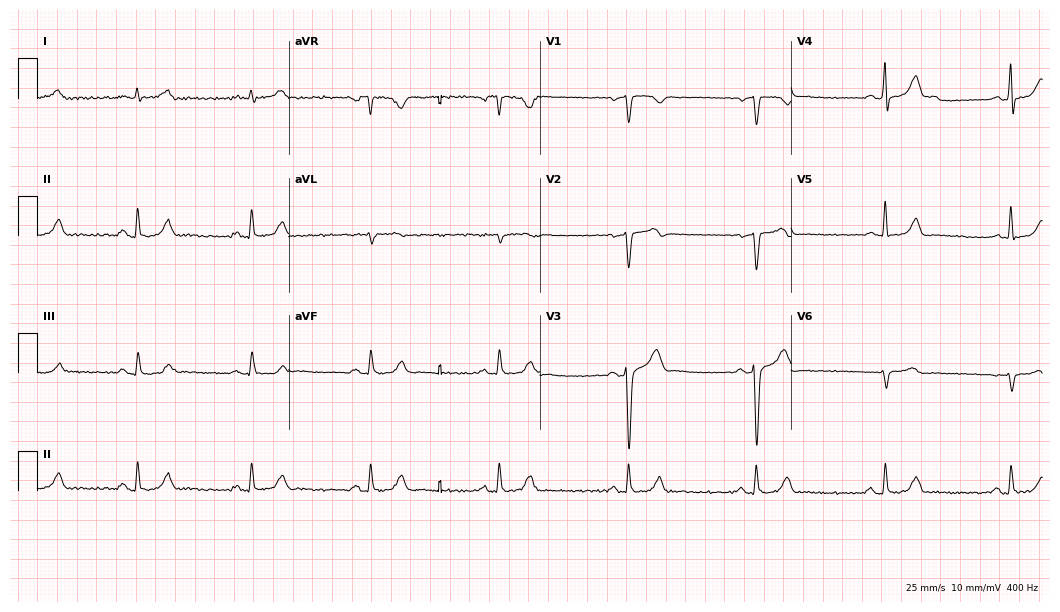
12-lead ECG from a 48-year-old man. Screened for six findings — first-degree AV block, right bundle branch block, left bundle branch block, sinus bradycardia, atrial fibrillation, sinus tachycardia — none is recorded.